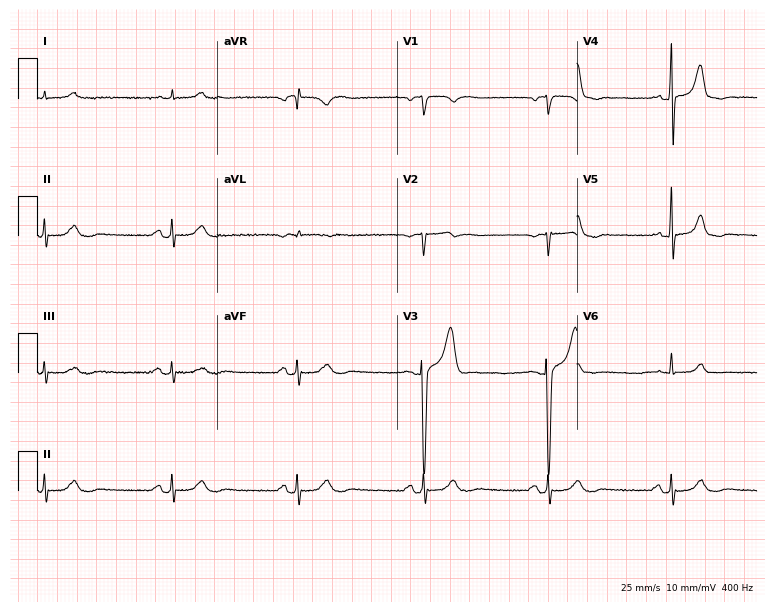
Standard 12-lead ECG recorded from a man, 74 years old. The tracing shows sinus bradycardia (a sinus rate of 50 beats per minute or less).